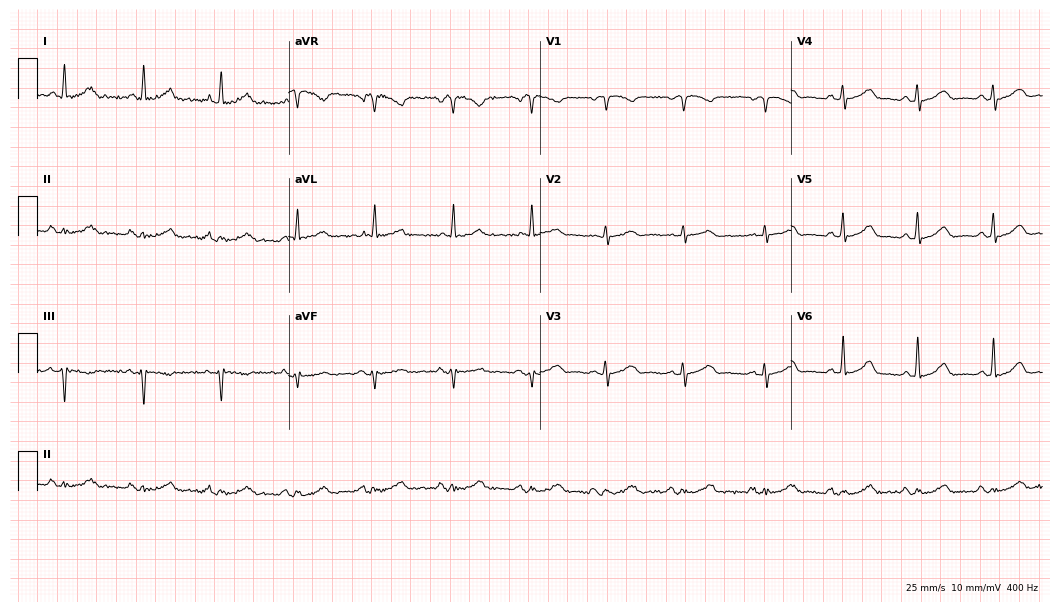
12-lead ECG (10.2-second recording at 400 Hz) from a 56-year-old female. Screened for six findings — first-degree AV block, right bundle branch block, left bundle branch block, sinus bradycardia, atrial fibrillation, sinus tachycardia — none is recorded.